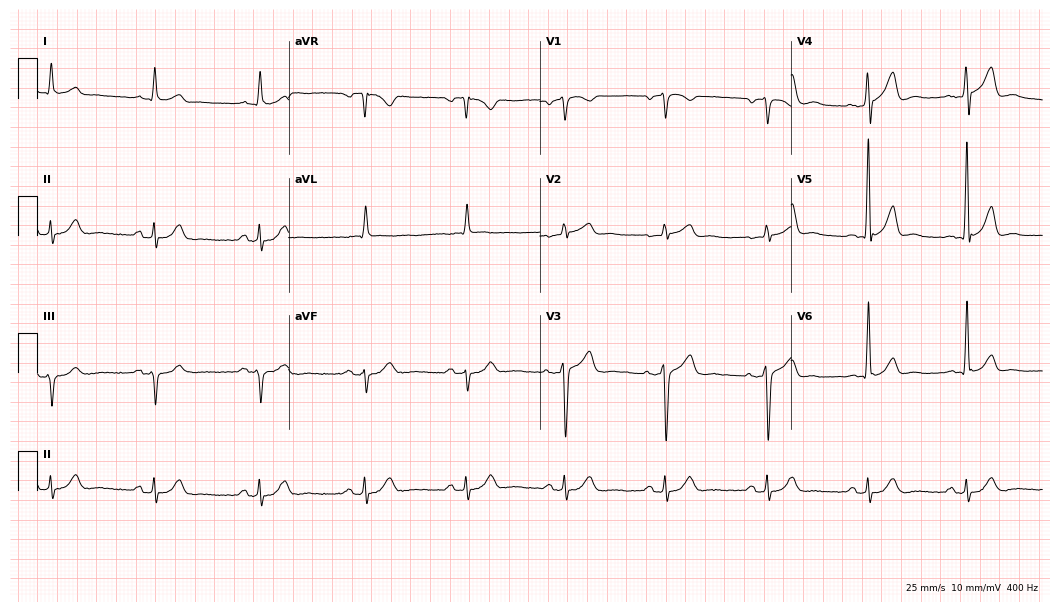
Electrocardiogram, a male patient, 54 years old. Of the six screened findings (first-degree AV block, right bundle branch block, left bundle branch block, sinus bradycardia, atrial fibrillation, sinus tachycardia), none is recorded. Other findings, if any, are not listed.